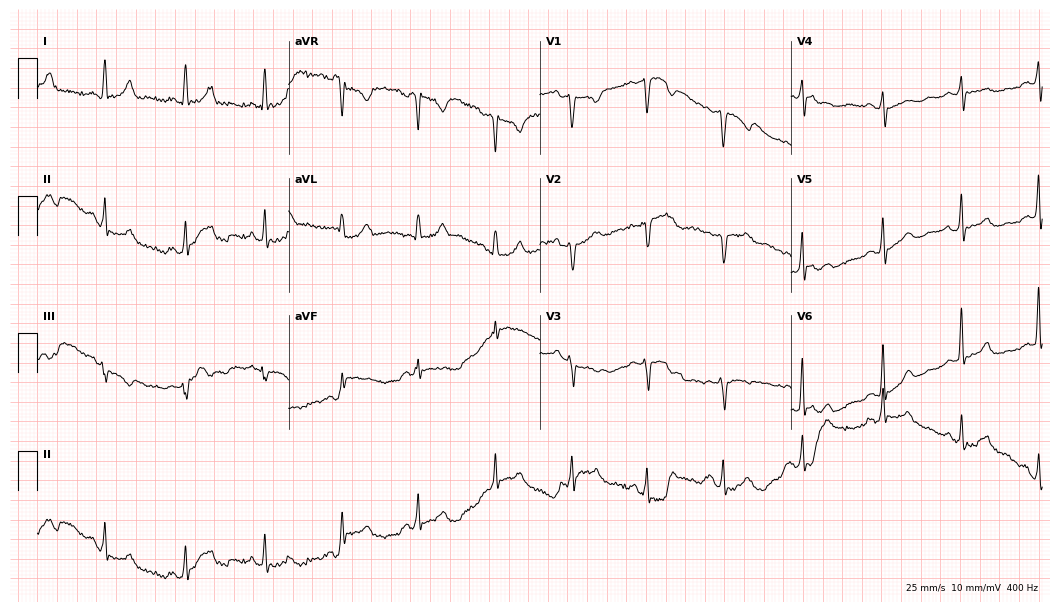
ECG (10.2-second recording at 400 Hz) — a 38-year-old female. Screened for six findings — first-degree AV block, right bundle branch block, left bundle branch block, sinus bradycardia, atrial fibrillation, sinus tachycardia — none is recorded.